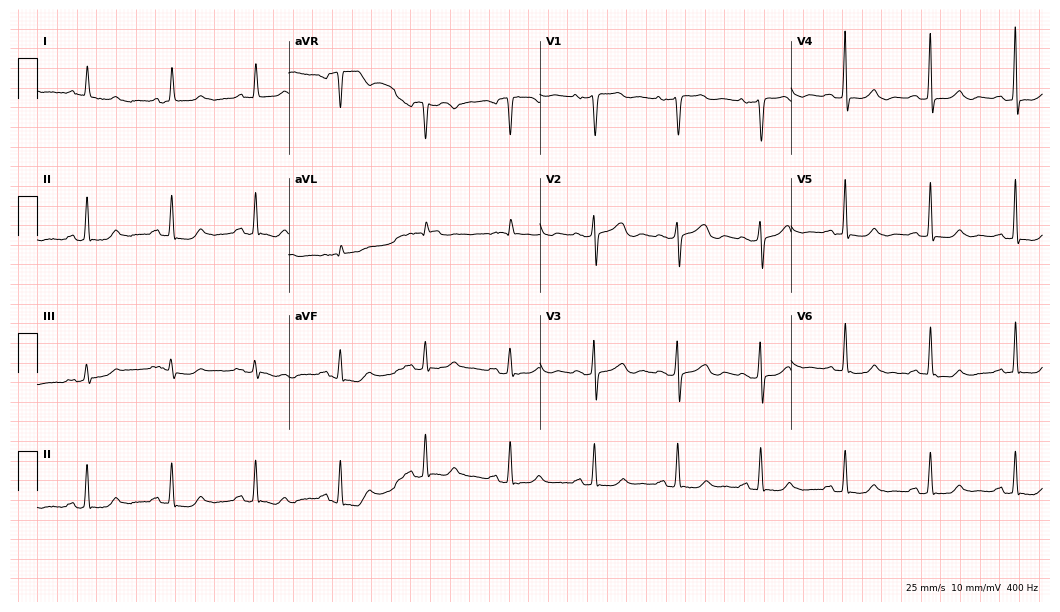
12-lead ECG from an 84-year-old woman. Recorded interpretation: within normal limits.